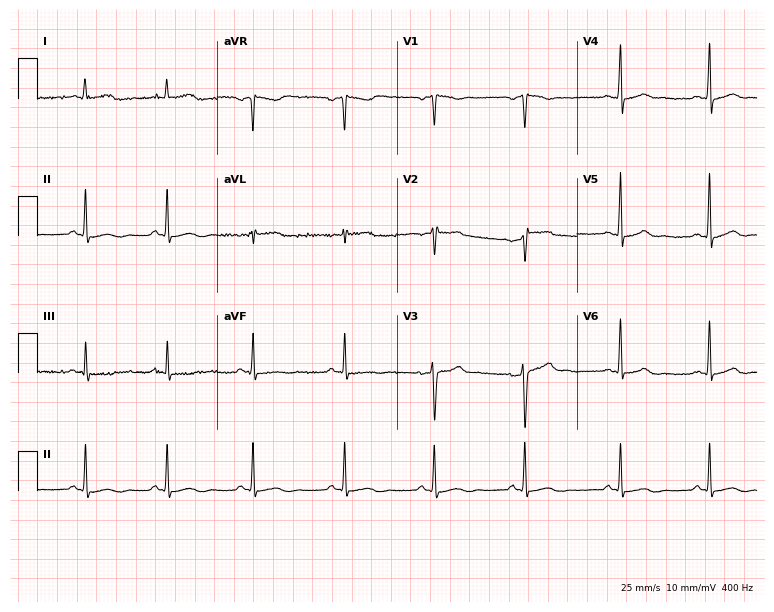
12-lead ECG from a woman, 32 years old. Screened for six findings — first-degree AV block, right bundle branch block, left bundle branch block, sinus bradycardia, atrial fibrillation, sinus tachycardia — none is recorded.